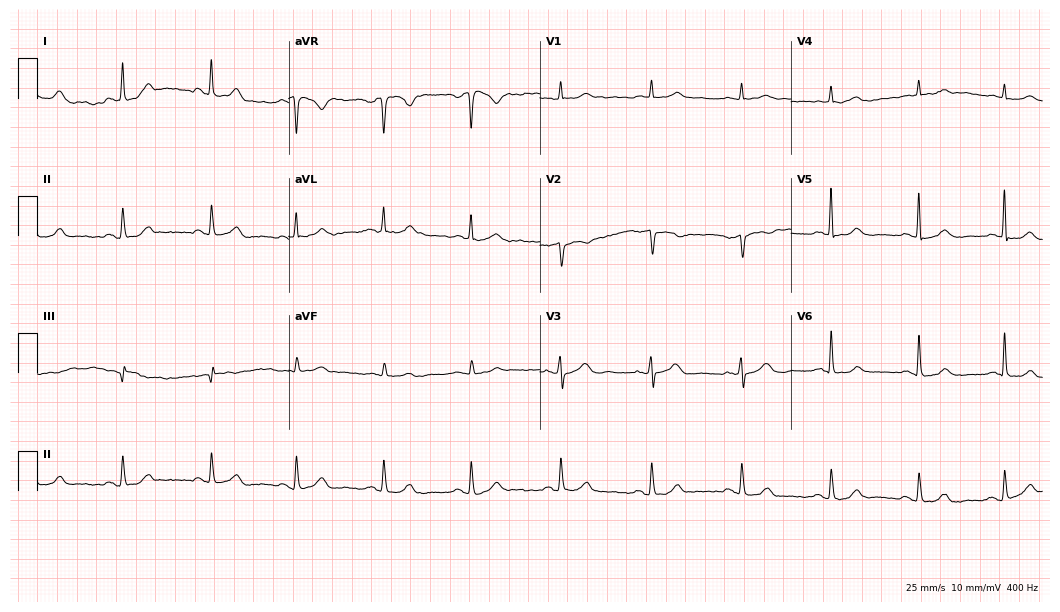
ECG (10.2-second recording at 400 Hz) — a woman, 62 years old. Screened for six findings — first-degree AV block, right bundle branch block, left bundle branch block, sinus bradycardia, atrial fibrillation, sinus tachycardia — none is recorded. Other findings, if any, are not listed.